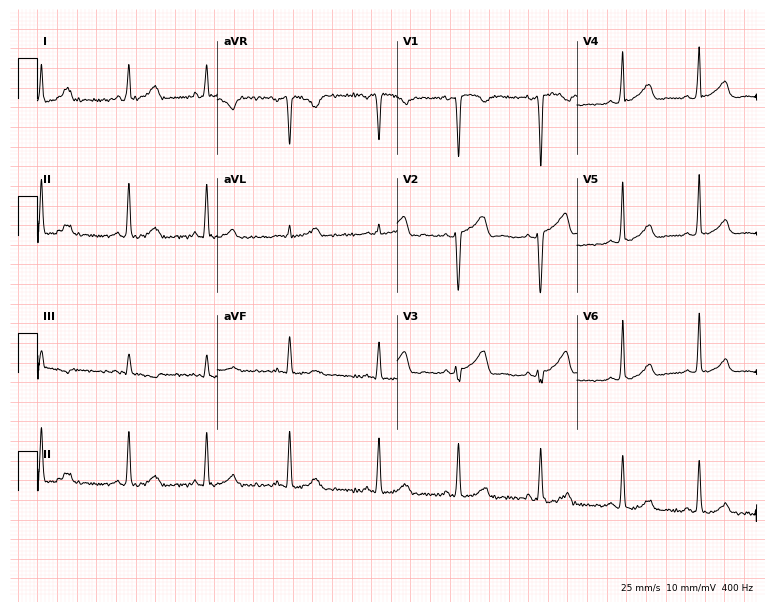
Standard 12-lead ECG recorded from a female patient, 21 years old. None of these six findings is recorded: first-degree AV block, right bundle branch block, left bundle branch block, sinus bradycardia, atrial fibrillation, sinus tachycardia.